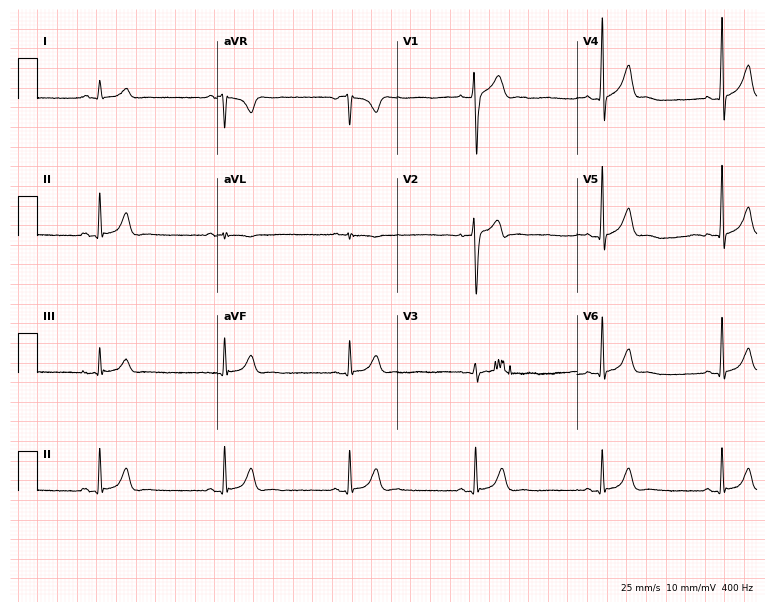
12-lead ECG from a male, 31 years old. Shows sinus bradycardia (a sinus rate of 50 beats per minute or less).